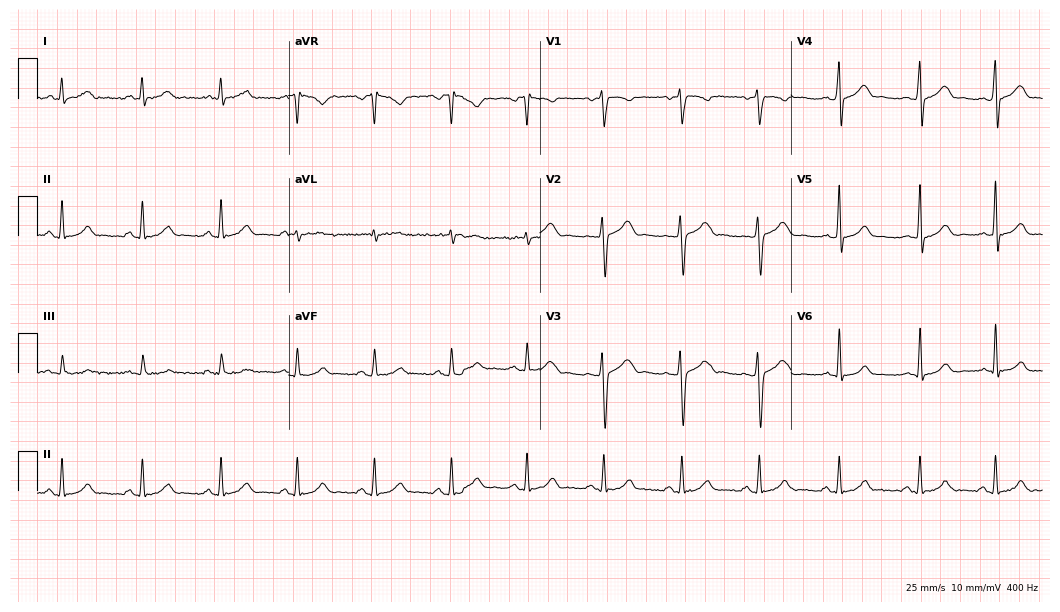
ECG — a 27-year-old female patient. Labelled as a normal ECG.